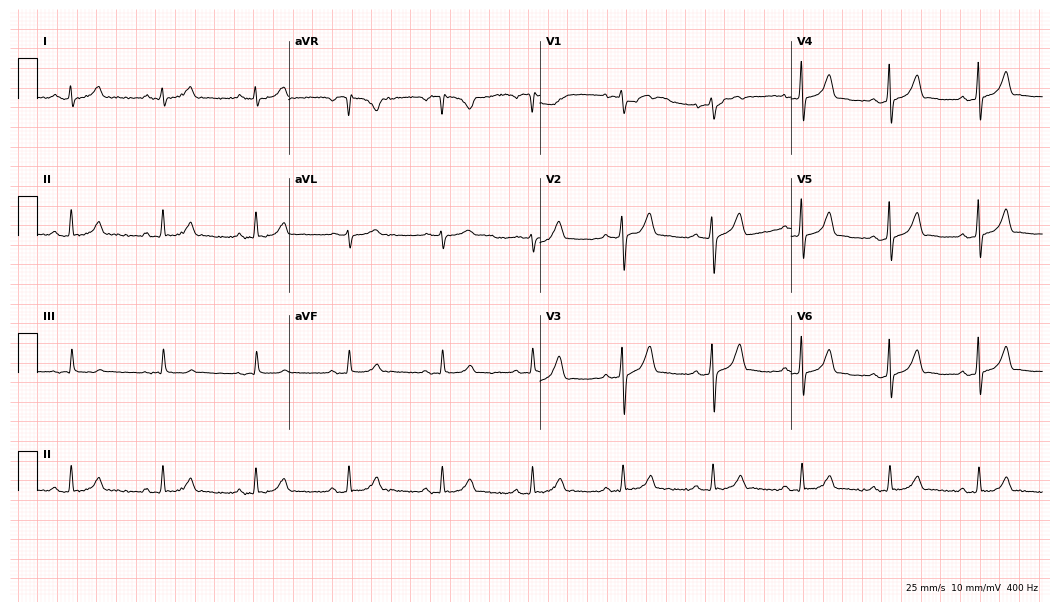
Resting 12-lead electrocardiogram. Patient: a 32-year-old male. None of these six findings is recorded: first-degree AV block, right bundle branch block, left bundle branch block, sinus bradycardia, atrial fibrillation, sinus tachycardia. Findings outside these six are not listed.